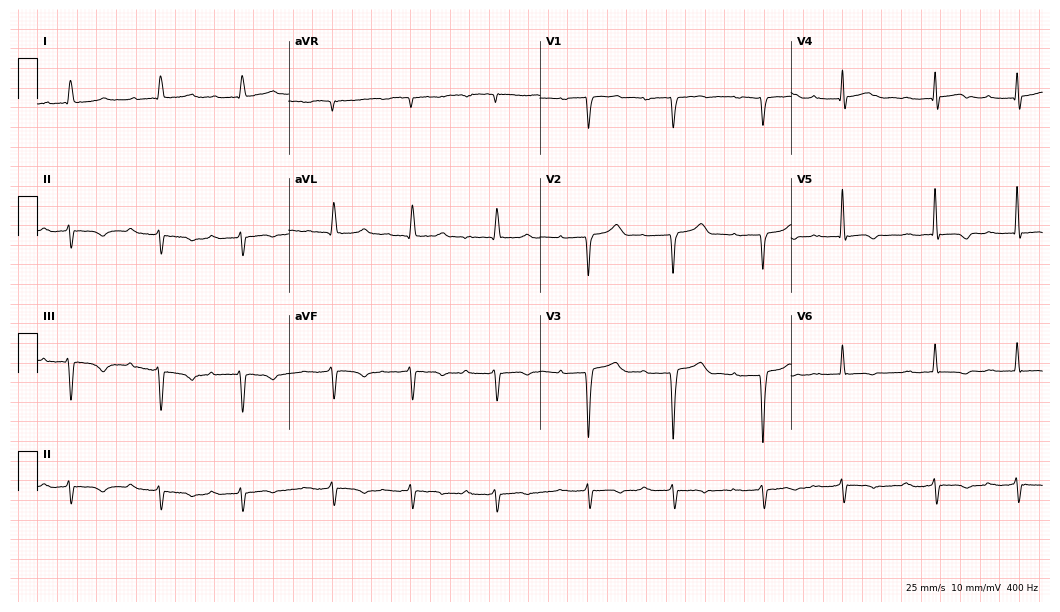
Resting 12-lead electrocardiogram (10.2-second recording at 400 Hz). Patient: a female, 80 years old. The tracing shows first-degree AV block.